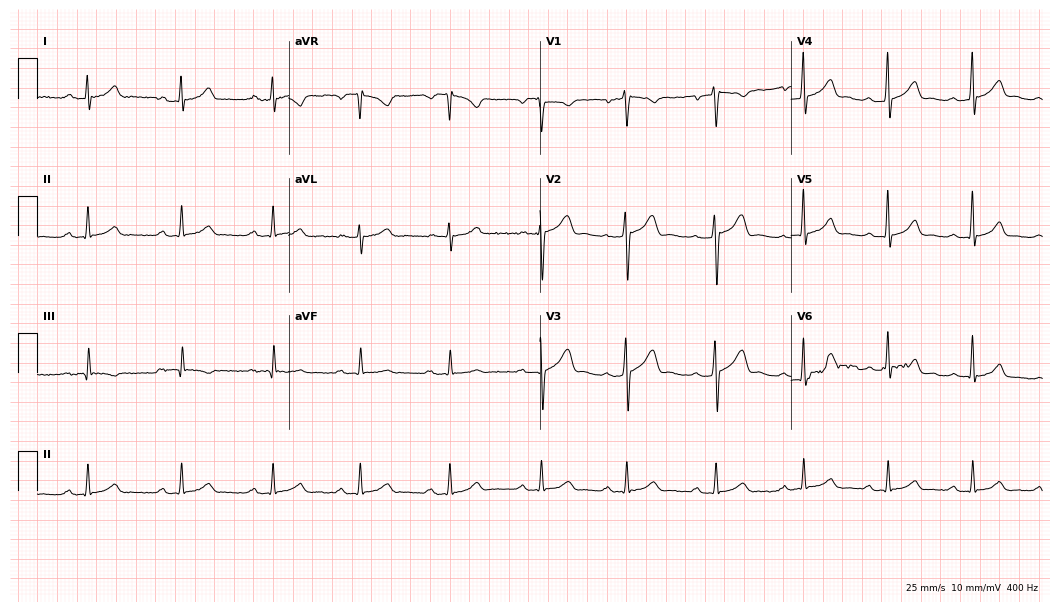
Standard 12-lead ECG recorded from a 32-year-old male patient (10.2-second recording at 400 Hz). Read as a normal ECG.